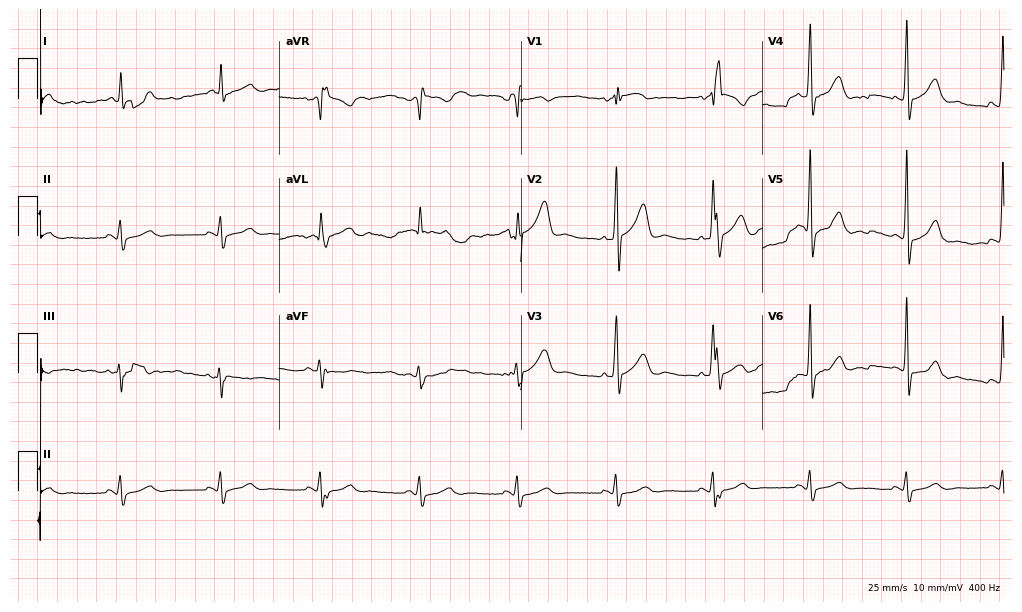
12-lead ECG from an 84-year-old male (9.9-second recording at 400 Hz). No first-degree AV block, right bundle branch block (RBBB), left bundle branch block (LBBB), sinus bradycardia, atrial fibrillation (AF) or sinus tachycardia recorded for this tracing. Other findings, if any, are not listed.